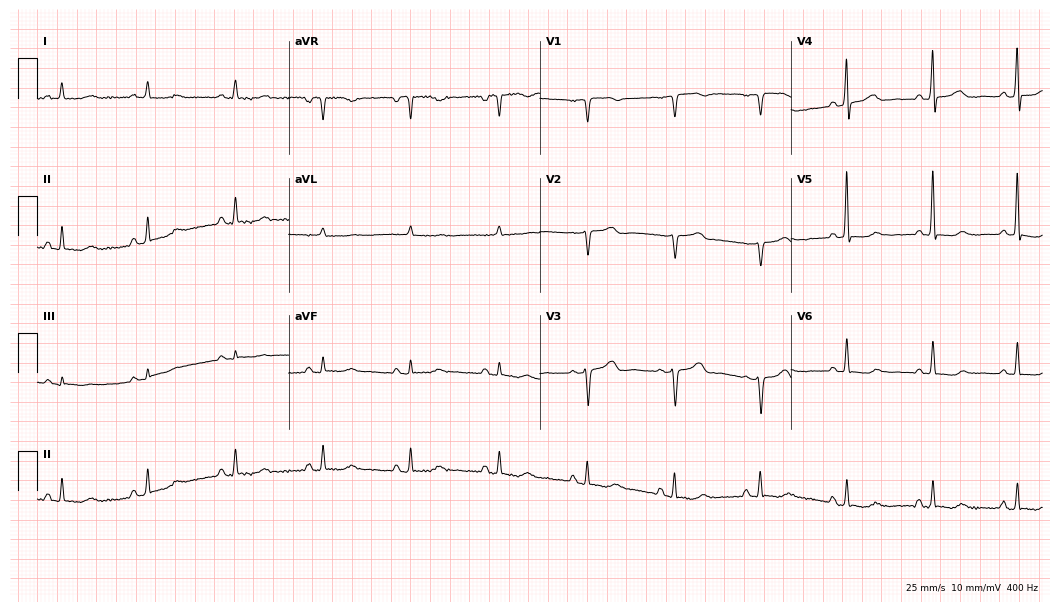
Standard 12-lead ECG recorded from a 64-year-old female. None of these six findings is recorded: first-degree AV block, right bundle branch block, left bundle branch block, sinus bradycardia, atrial fibrillation, sinus tachycardia. Other findings, if any, are not listed.